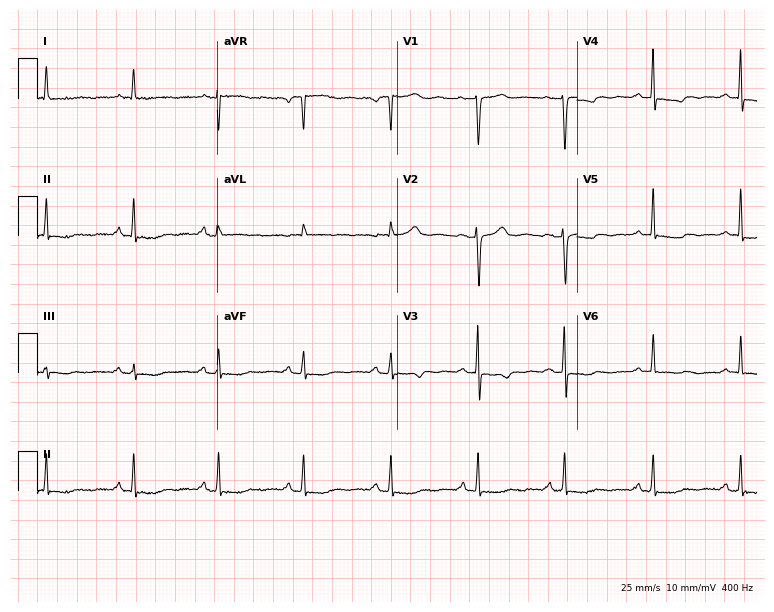
ECG (7.3-second recording at 400 Hz) — a 57-year-old female patient. Screened for six findings — first-degree AV block, right bundle branch block, left bundle branch block, sinus bradycardia, atrial fibrillation, sinus tachycardia — none is recorded.